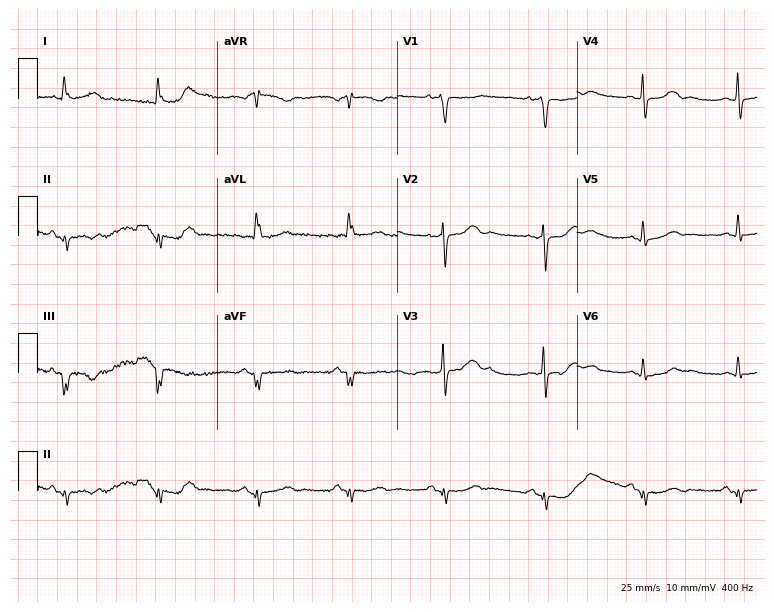
12-lead ECG from a woman, 68 years old. Screened for six findings — first-degree AV block, right bundle branch block, left bundle branch block, sinus bradycardia, atrial fibrillation, sinus tachycardia — none is recorded. Other findings, if any, are not listed.